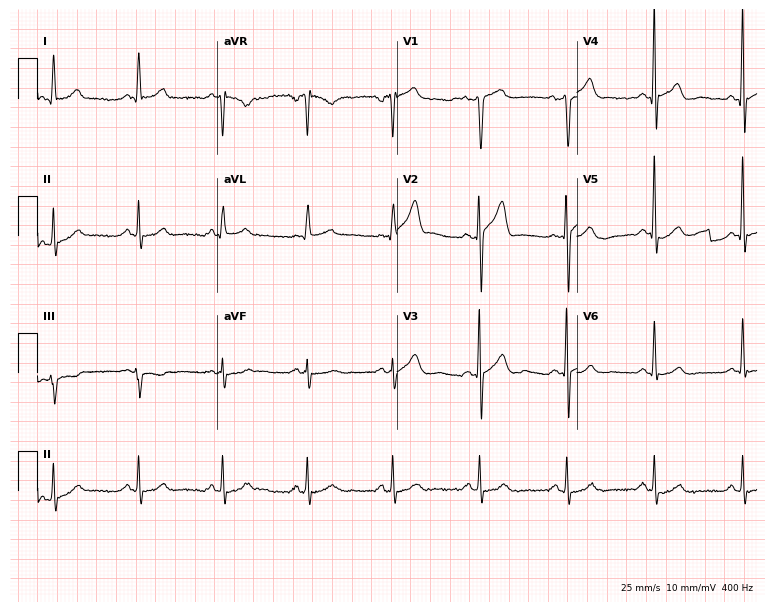
12-lead ECG from a male, 60 years old. Labelled as a normal ECG.